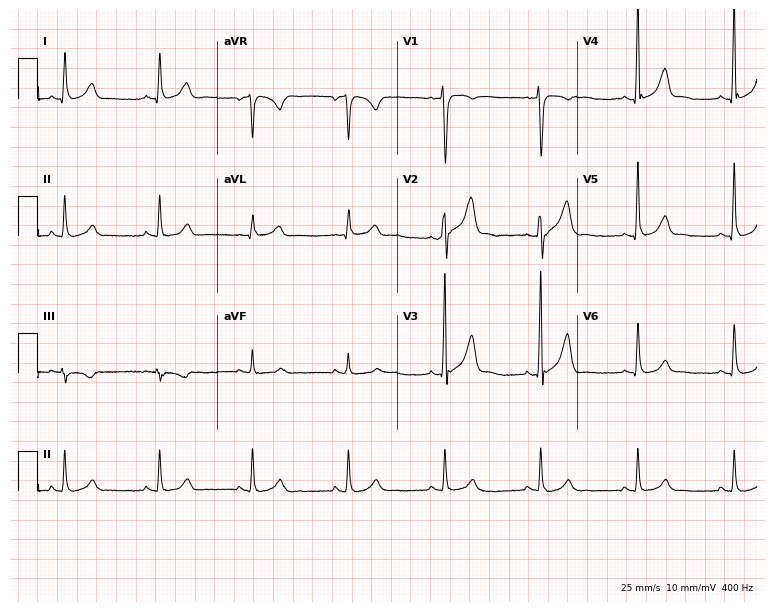
ECG — a male patient, 53 years old. Labelled as a normal ECG.